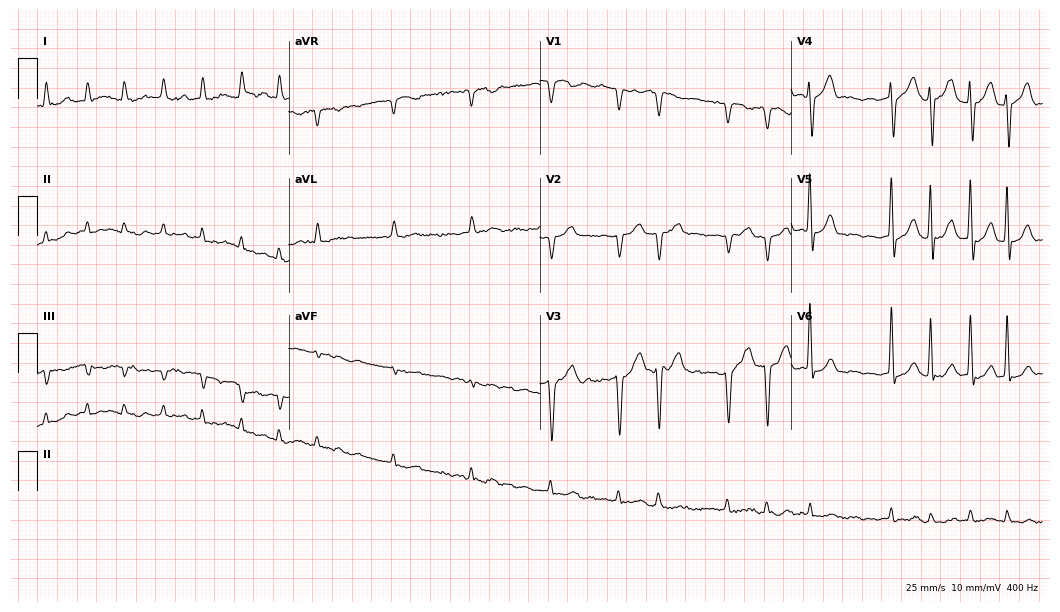
Electrocardiogram, a male, 83 years old. Interpretation includes atrial fibrillation.